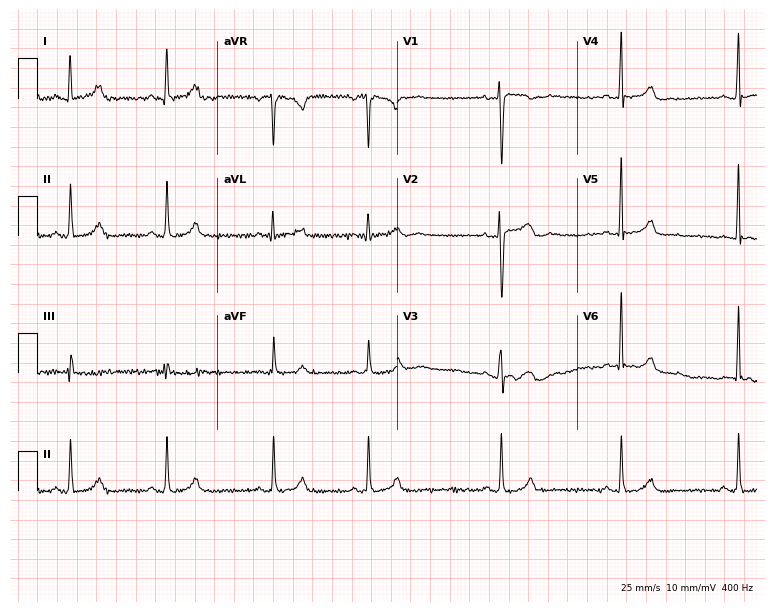
Standard 12-lead ECG recorded from a 39-year-old female. None of these six findings is recorded: first-degree AV block, right bundle branch block, left bundle branch block, sinus bradycardia, atrial fibrillation, sinus tachycardia. Only these six findings were labelled.